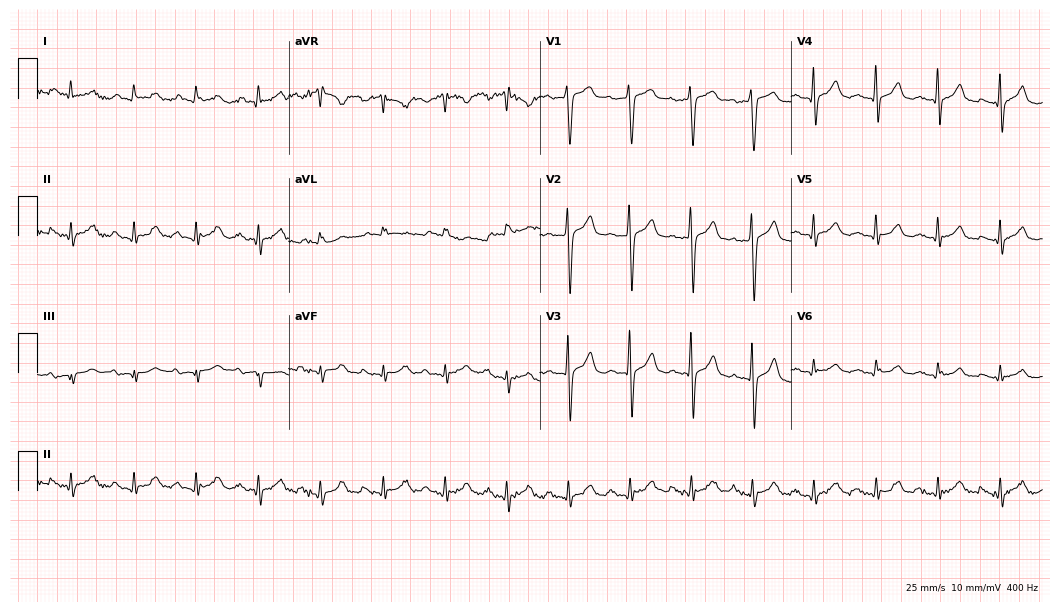
Electrocardiogram (10.2-second recording at 400 Hz), a male, 75 years old. Overall reading on record: normal ECG.